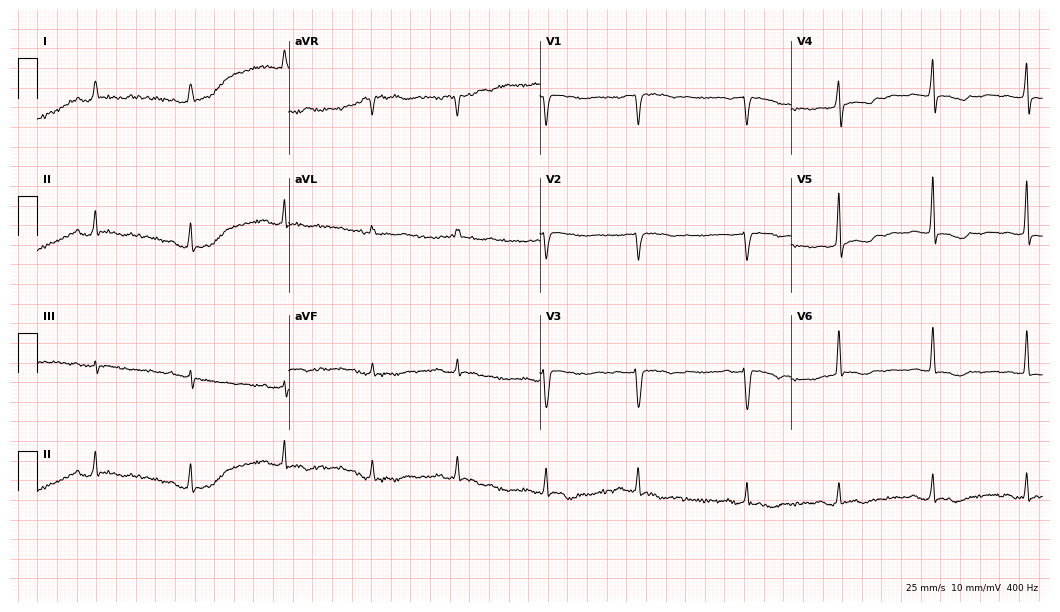
12-lead ECG from a female patient, 78 years old. Screened for six findings — first-degree AV block, right bundle branch block, left bundle branch block, sinus bradycardia, atrial fibrillation, sinus tachycardia — none is recorded. Only these six findings were labelled.